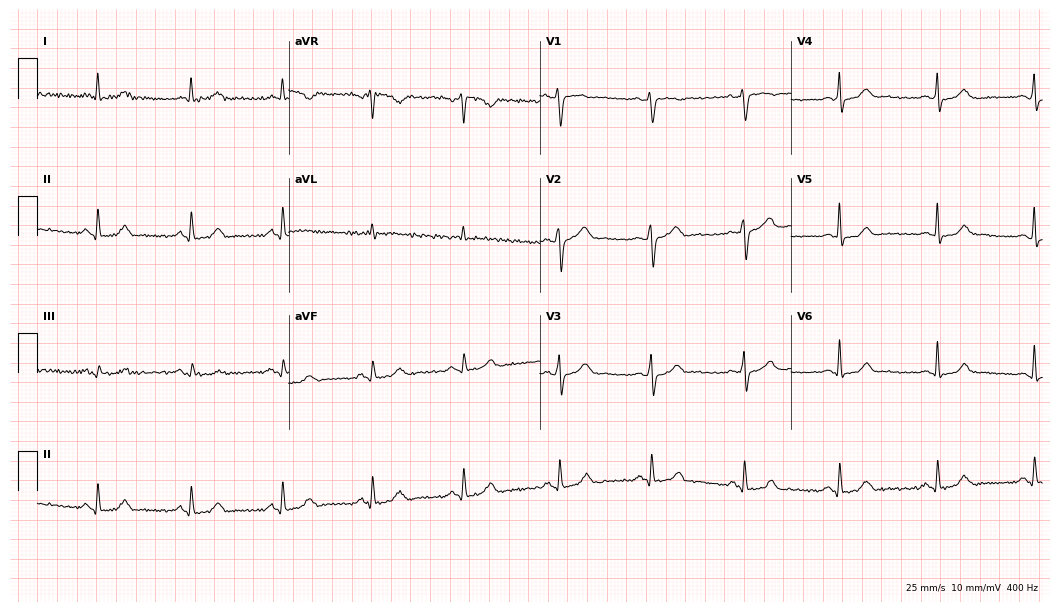
Electrocardiogram, a 50-year-old male patient. Overall reading on record: normal ECG.